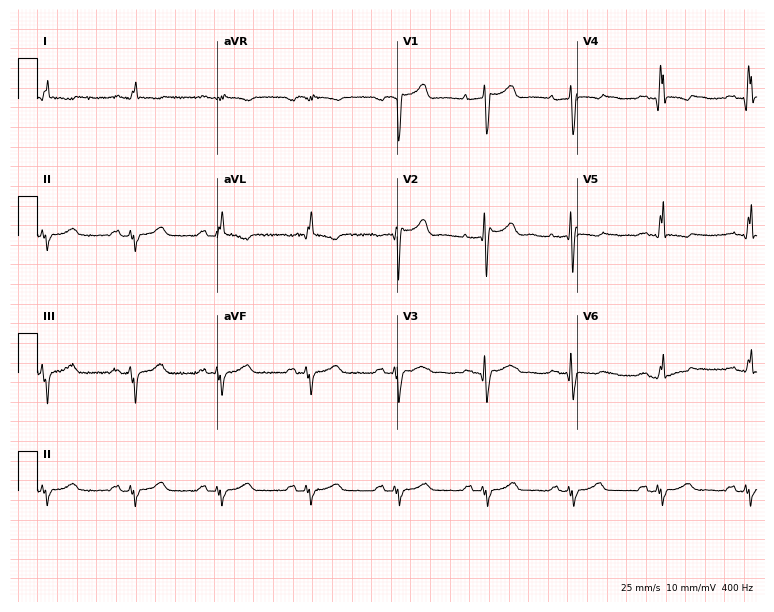
Standard 12-lead ECG recorded from a male, 57 years old. None of these six findings is recorded: first-degree AV block, right bundle branch block (RBBB), left bundle branch block (LBBB), sinus bradycardia, atrial fibrillation (AF), sinus tachycardia.